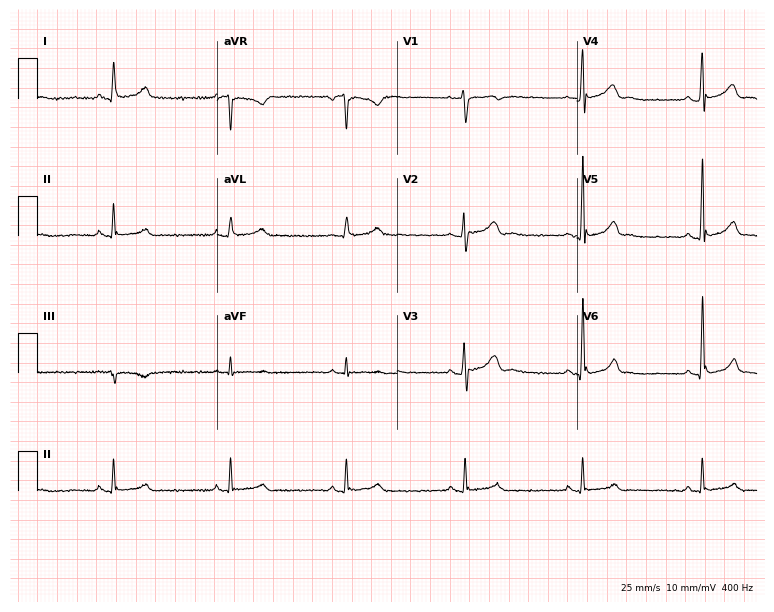
Standard 12-lead ECG recorded from a man, 40 years old. None of these six findings is recorded: first-degree AV block, right bundle branch block (RBBB), left bundle branch block (LBBB), sinus bradycardia, atrial fibrillation (AF), sinus tachycardia. Findings outside these six are not listed.